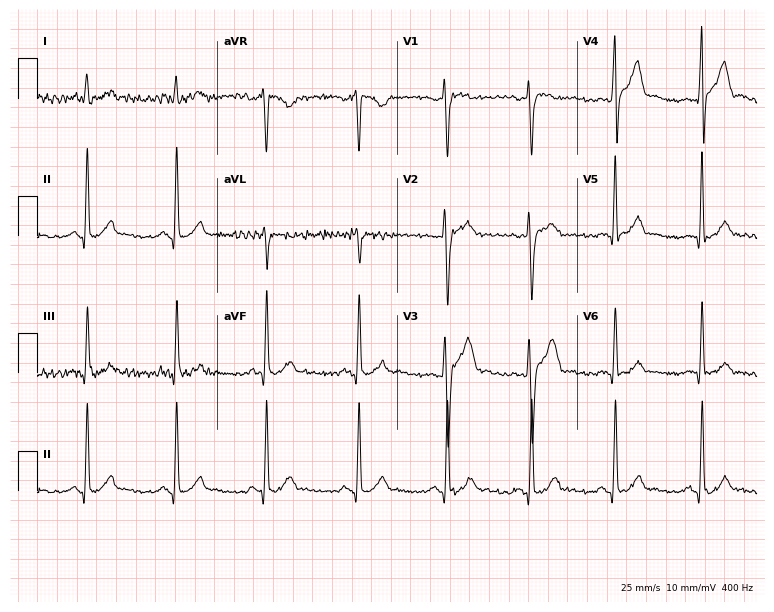
12-lead ECG (7.3-second recording at 400 Hz) from a man, 37 years old. Labelled as a normal ECG.